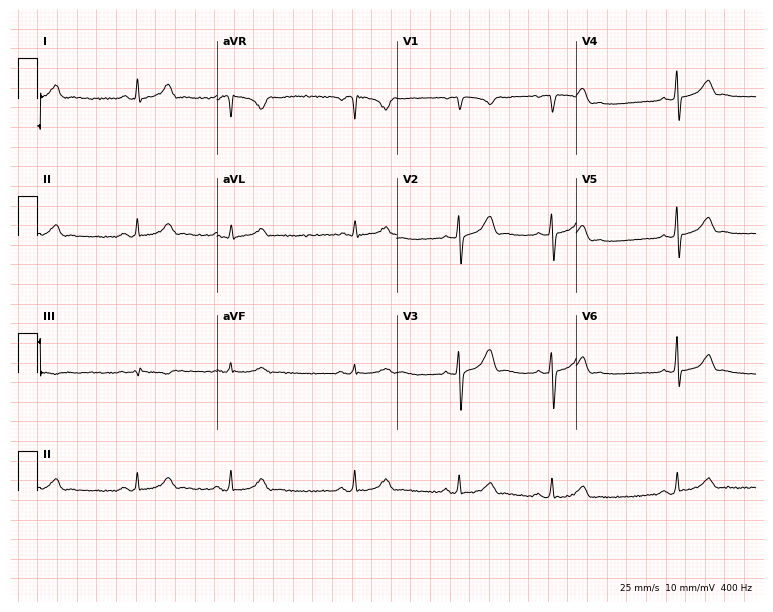
12-lead ECG (7.3-second recording at 400 Hz) from a female patient, 17 years old. Labelled as a normal ECG.